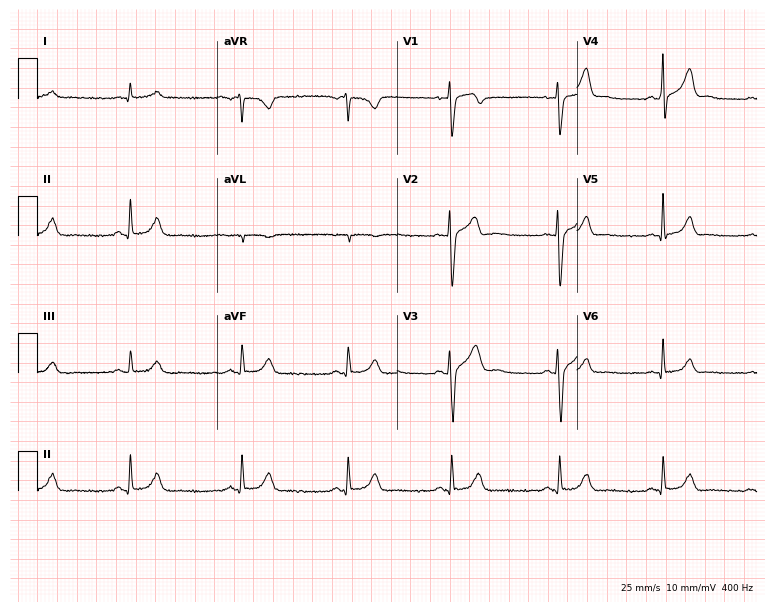
Standard 12-lead ECG recorded from a 35-year-old male. None of these six findings is recorded: first-degree AV block, right bundle branch block, left bundle branch block, sinus bradycardia, atrial fibrillation, sinus tachycardia. Only these six findings were labelled.